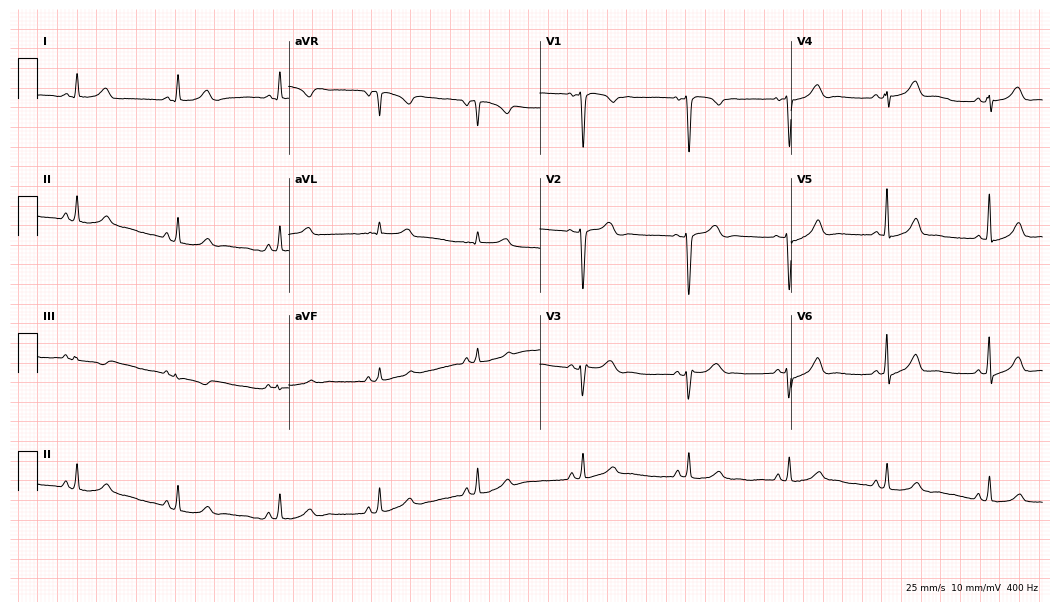
ECG (10.2-second recording at 400 Hz) — a woman, 45 years old. Labelled as a normal ECG.